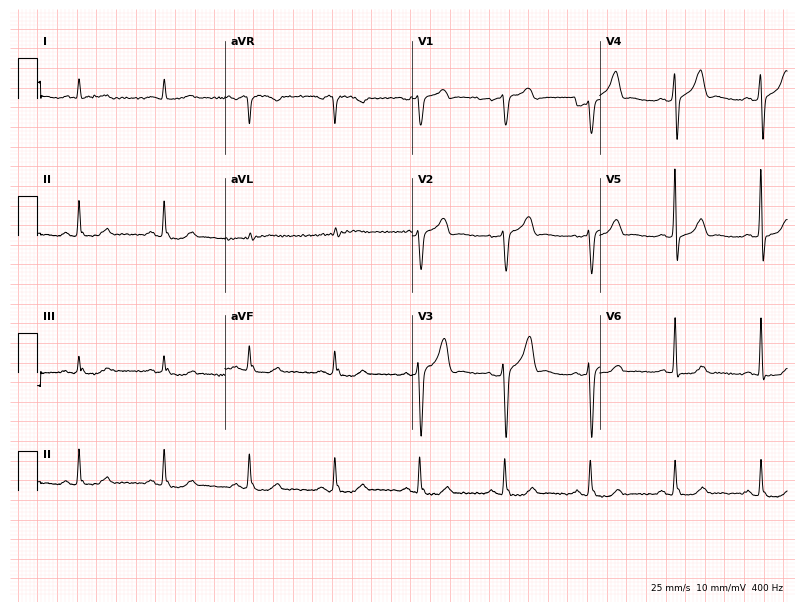
12-lead ECG (7.6-second recording at 400 Hz) from a 78-year-old male patient. Labelled as a normal ECG.